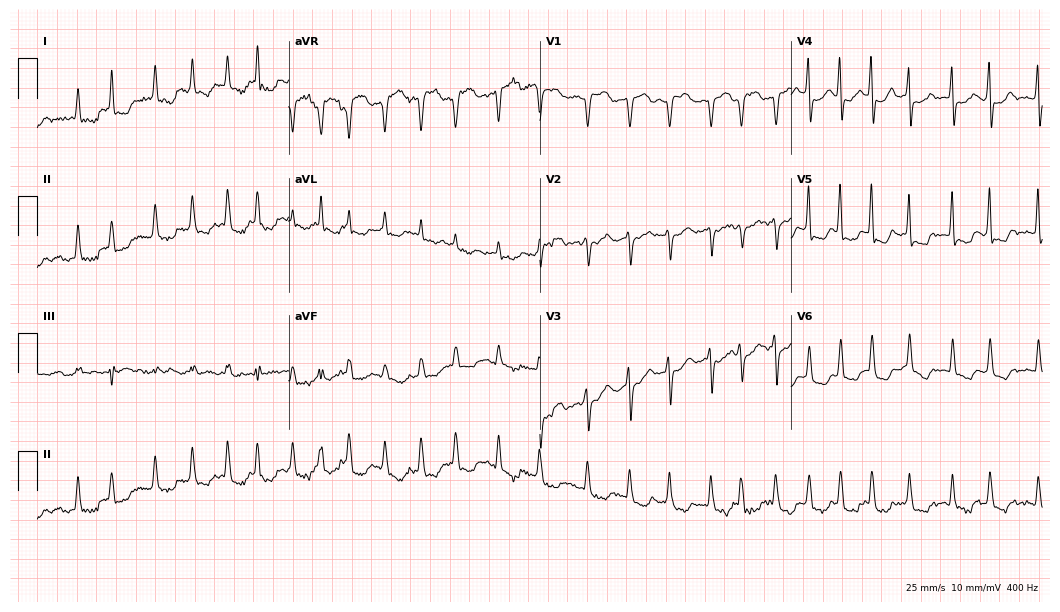
ECG — a woman, 51 years old. Screened for six findings — first-degree AV block, right bundle branch block, left bundle branch block, sinus bradycardia, atrial fibrillation, sinus tachycardia — none is recorded.